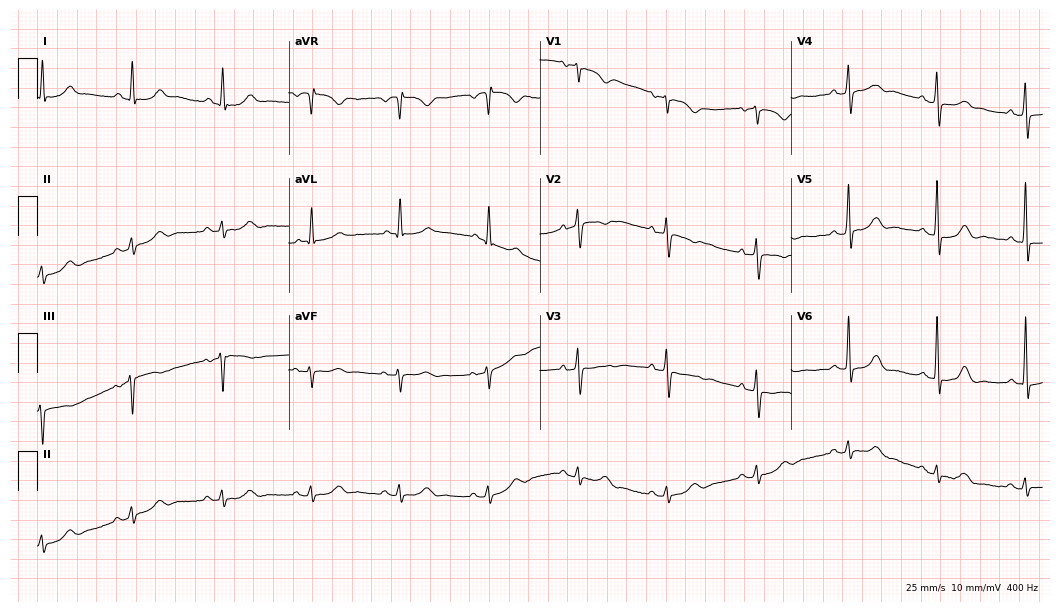
12-lead ECG from an 84-year-old woman. Labelled as a normal ECG.